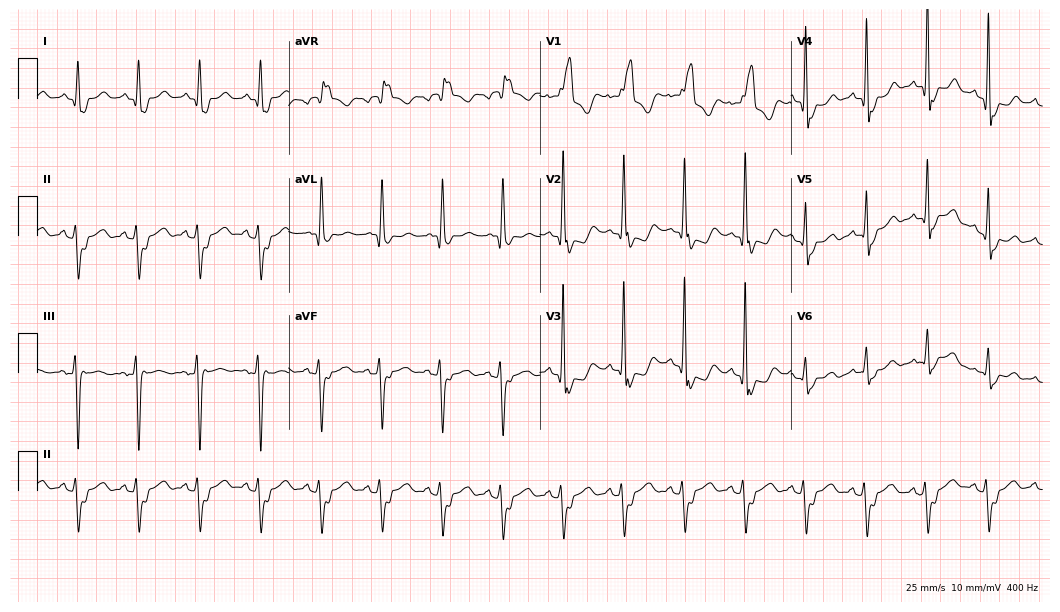
12-lead ECG from a male patient, 61 years old (10.2-second recording at 400 Hz). Shows right bundle branch block (RBBB).